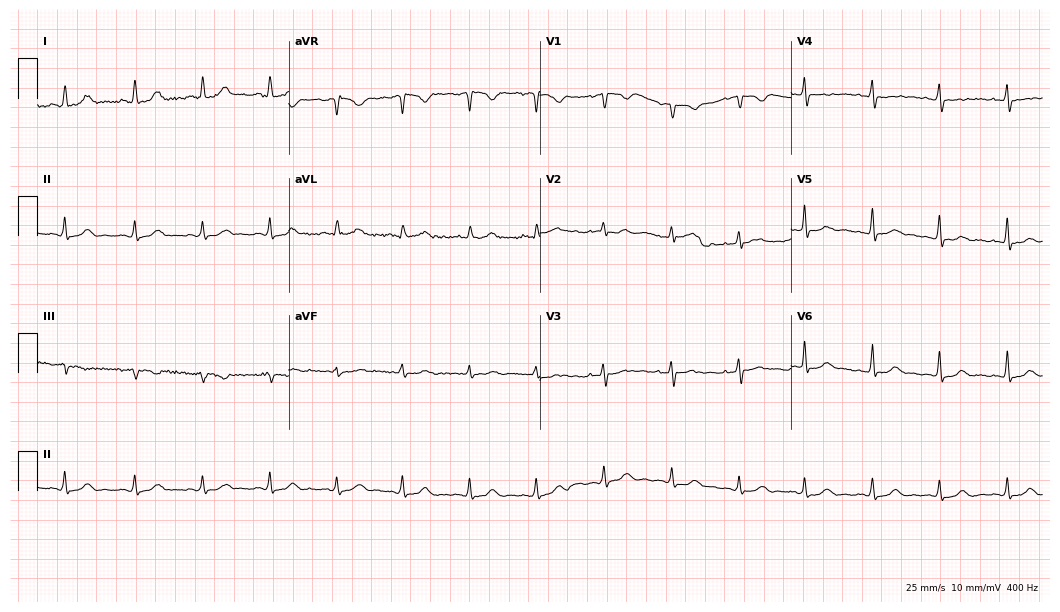
Resting 12-lead electrocardiogram (10.2-second recording at 400 Hz). Patient: a female, 46 years old. Read as a normal ECG.